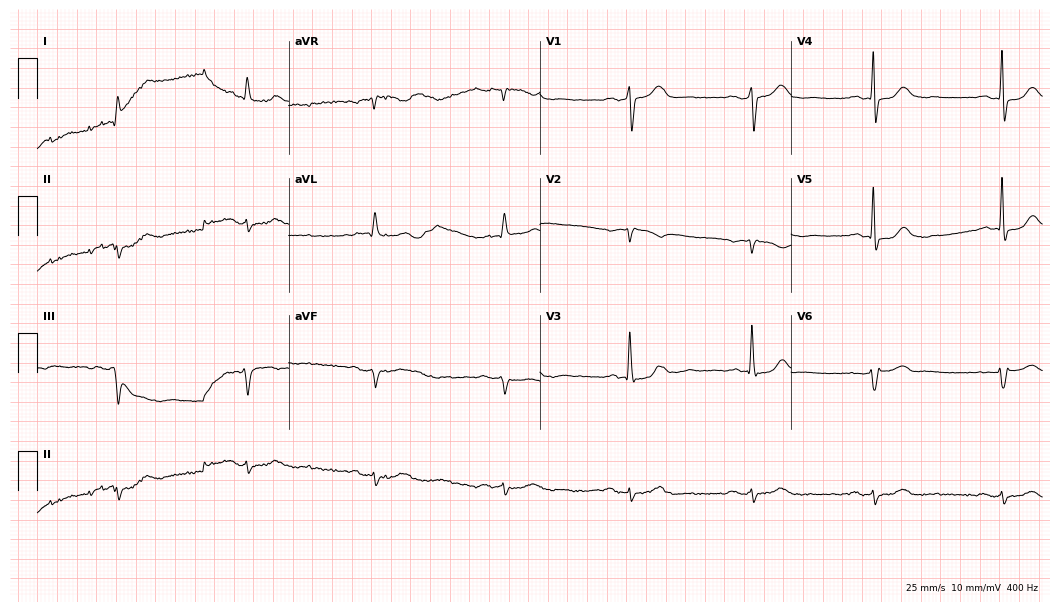
Electrocardiogram, a male patient, 80 years old. Interpretation includes first-degree AV block.